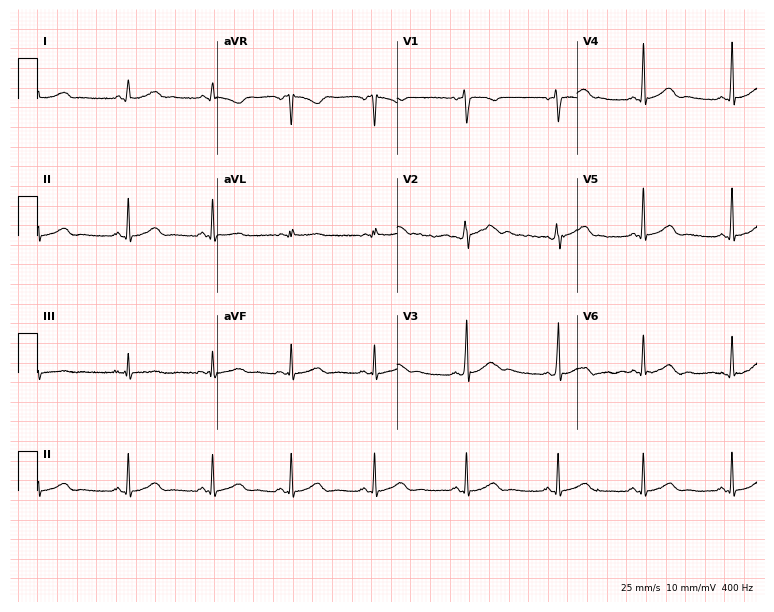
Resting 12-lead electrocardiogram (7.3-second recording at 400 Hz). Patient: a female, 31 years old. Read as a normal ECG.